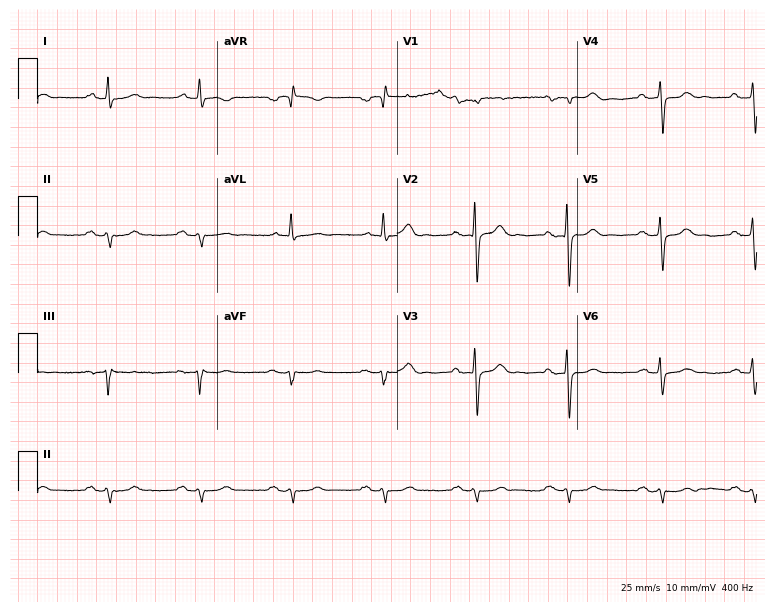
12-lead ECG (7.3-second recording at 400 Hz) from a male, 75 years old. Screened for six findings — first-degree AV block, right bundle branch block (RBBB), left bundle branch block (LBBB), sinus bradycardia, atrial fibrillation (AF), sinus tachycardia — none is recorded.